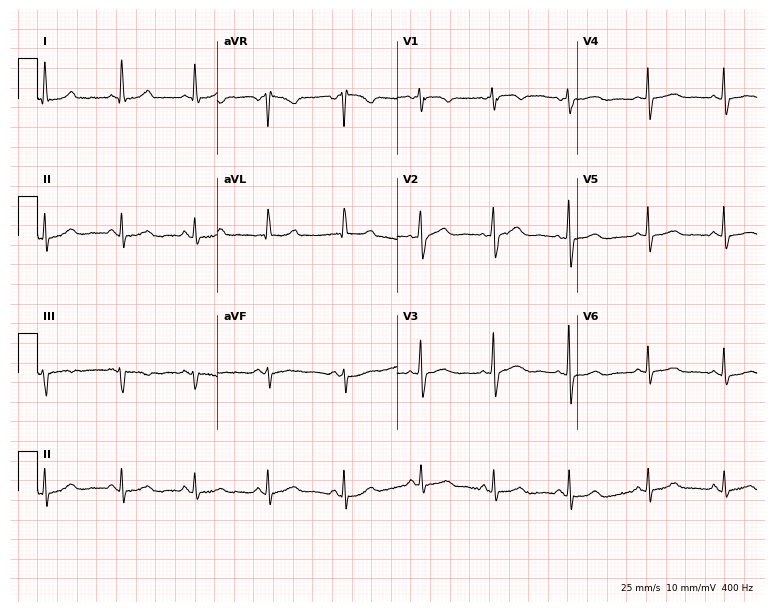
Standard 12-lead ECG recorded from a 53-year-old woman (7.3-second recording at 400 Hz). Read as a normal ECG.